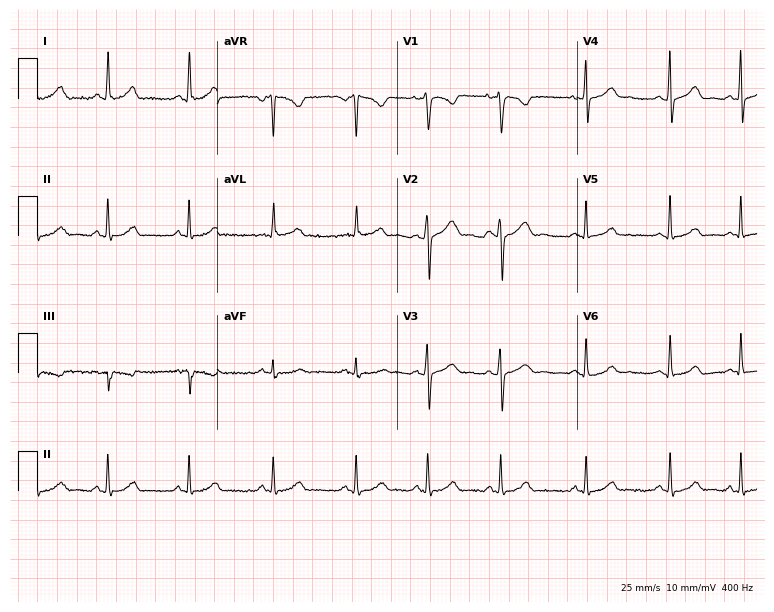
Electrocardiogram (7.3-second recording at 400 Hz), a 25-year-old woman. Of the six screened findings (first-degree AV block, right bundle branch block, left bundle branch block, sinus bradycardia, atrial fibrillation, sinus tachycardia), none is recorded.